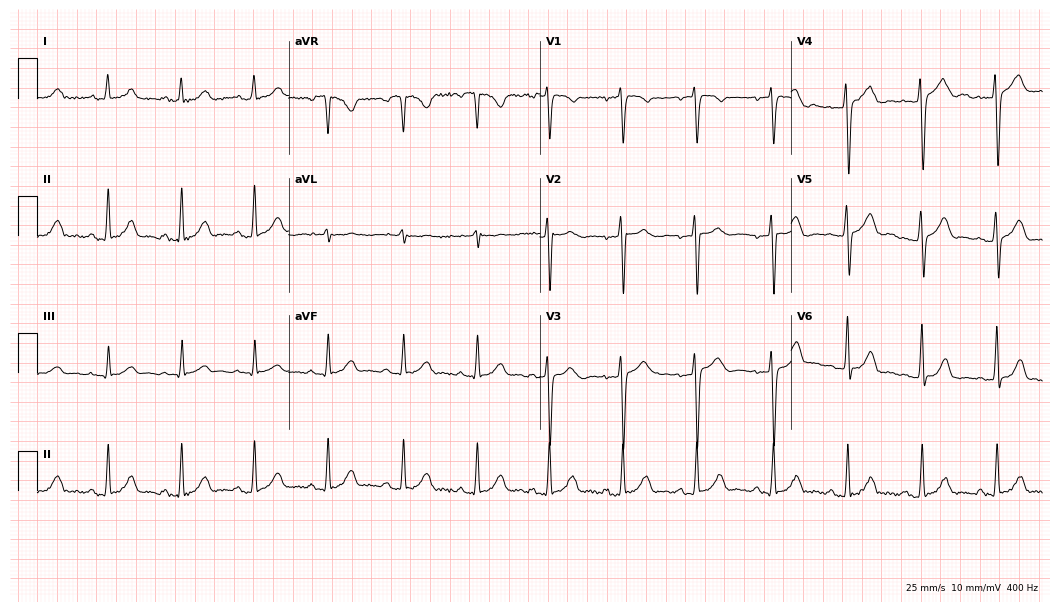
Standard 12-lead ECG recorded from a woman, 26 years old (10.2-second recording at 400 Hz). Read as a normal ECG.